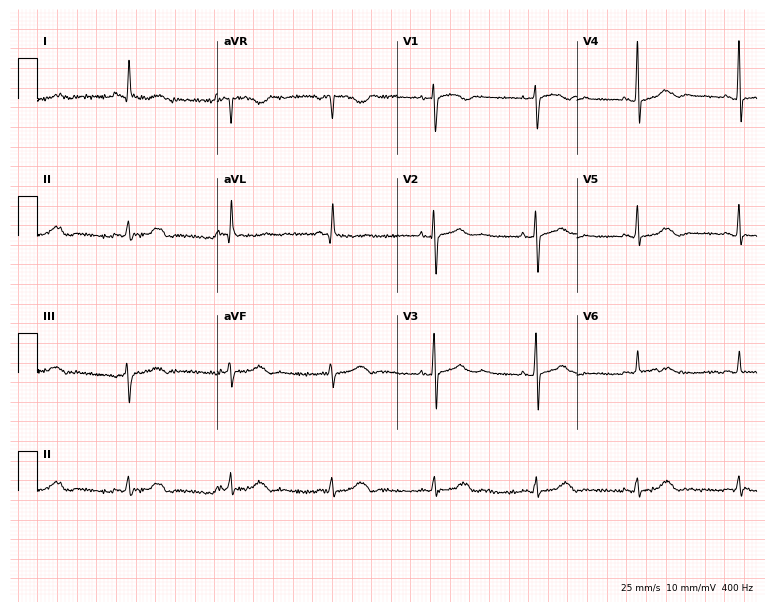
Electrocardiogram (7.3-second recording at 400 Hz), a female patient, 65 years old. Overall reading on record: normal ECG.